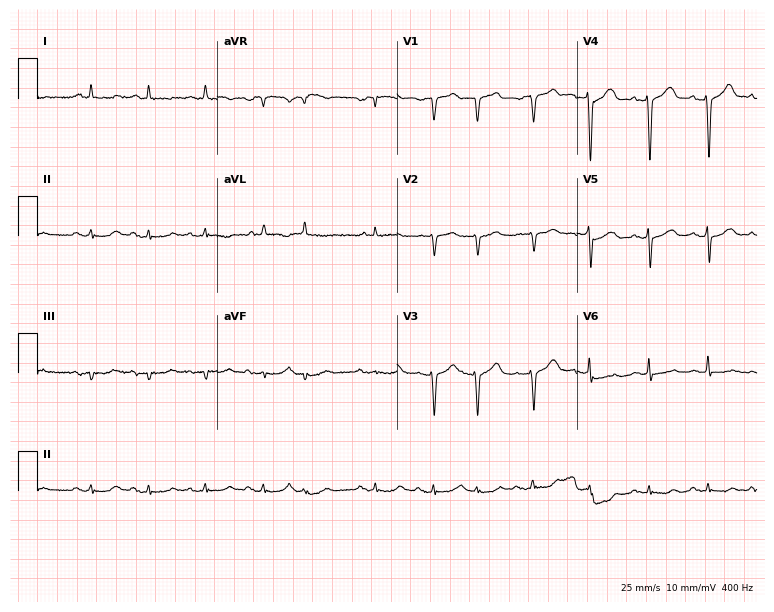
12-lead ECG from a man, 81 years old (7.3-second recording at 400 Hz). No first-degree AV block, right bundle branch block, left bundle branch block, sinus bradycardia, atrial fibrillation or sinus tachycardia recorded for this tracing. Findings outside these six are not listed.